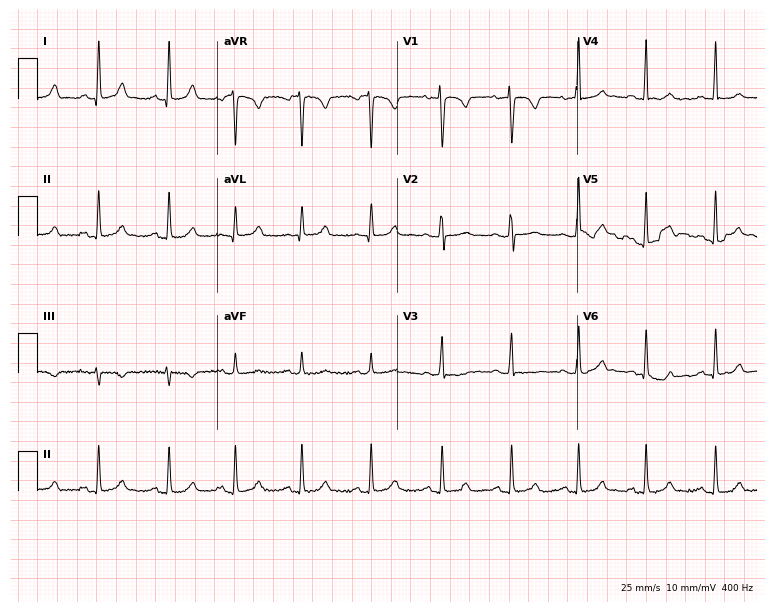
12-lead ECG from a female patient, 30 years old (7.3-second recording at 400 Hz). No first-degree AV block, right bundle branch block (RBBB), left bundle branch block (LBBB), sinus bradycardia, atrial fibrillation (AF) or sinus tachycardia recorded for this tracing. Only these six findings were labelled.